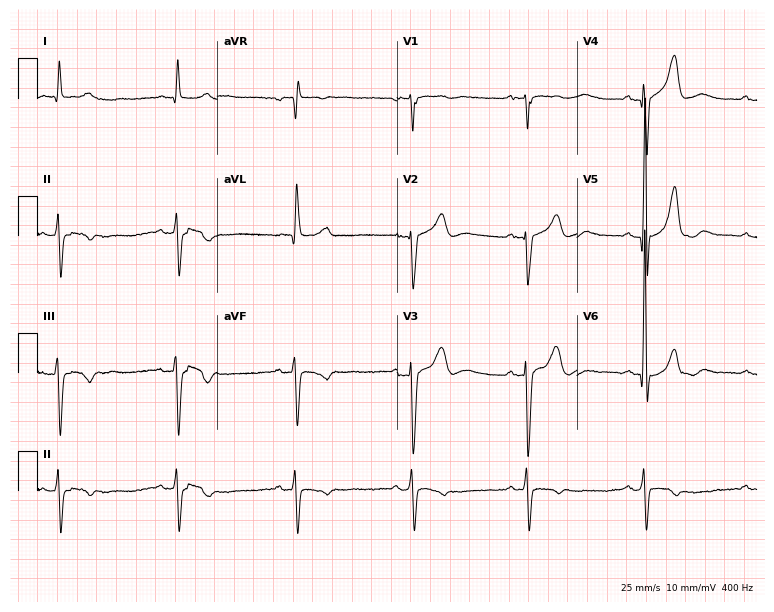
ECG (7.3-second recording at 400 Hz) — a 62-year-old male. Screened for six findings — first-degree AV block, right bundle branch block, left bundle branch block, sinus bradycardia, atrial fibrillation, sinus tachycardia — none is recorded.